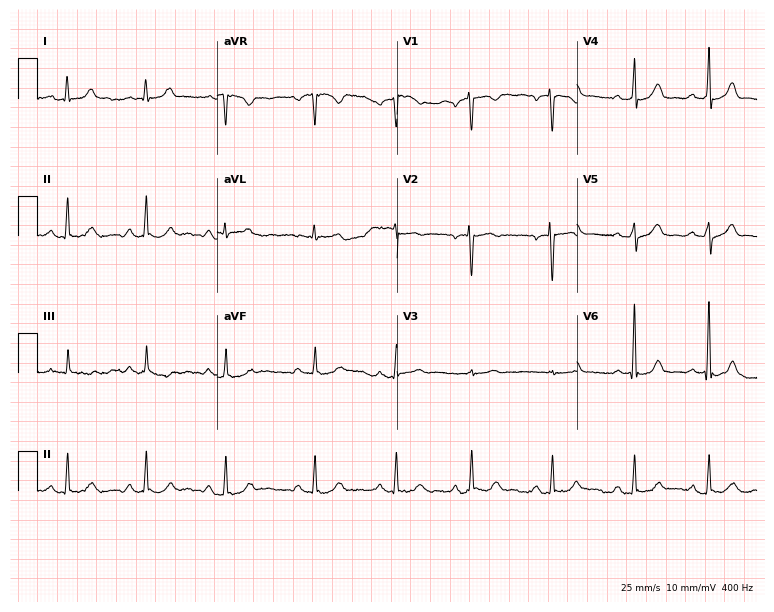
ECG — a female, 40 years old. Screened for six findings — first-degree AV block, right bundle branch block, left bundle branch block, sinus bradycardia, atrial fibrillation, sinus tachycardia — none is recorded.